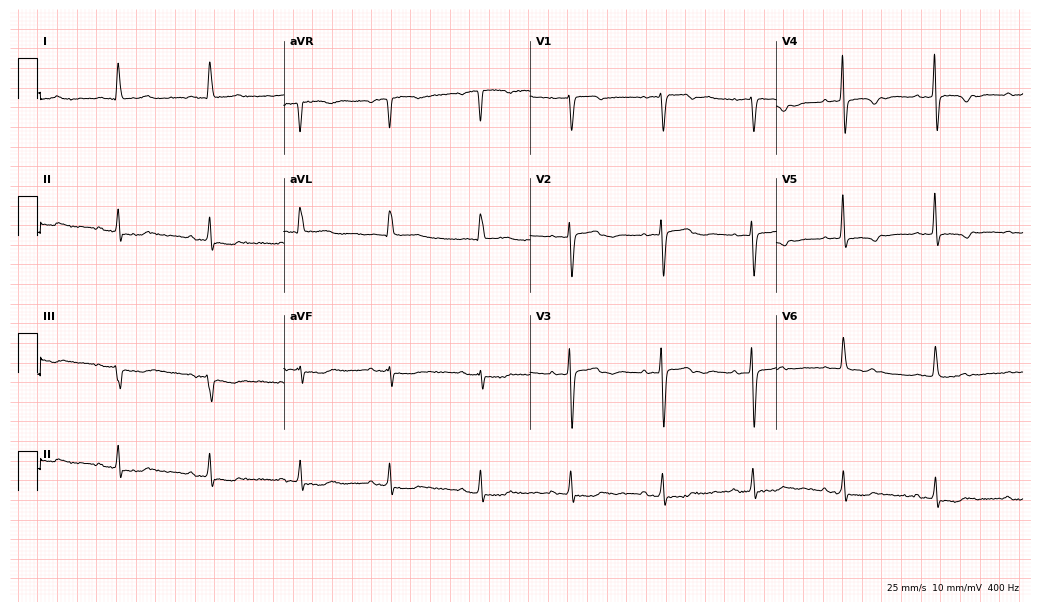
Electrocardiogram (10-second recording at 400 Hz), a female, 84 years old. Of the six screened findings (first-degree AV block, right bundle branch block (RBBB), left bundle branch block (LBBB), sinus bradycardia, atrial fibrillation (AF), sinus tachycardia), none is recorded. Only these six findings were labelled.